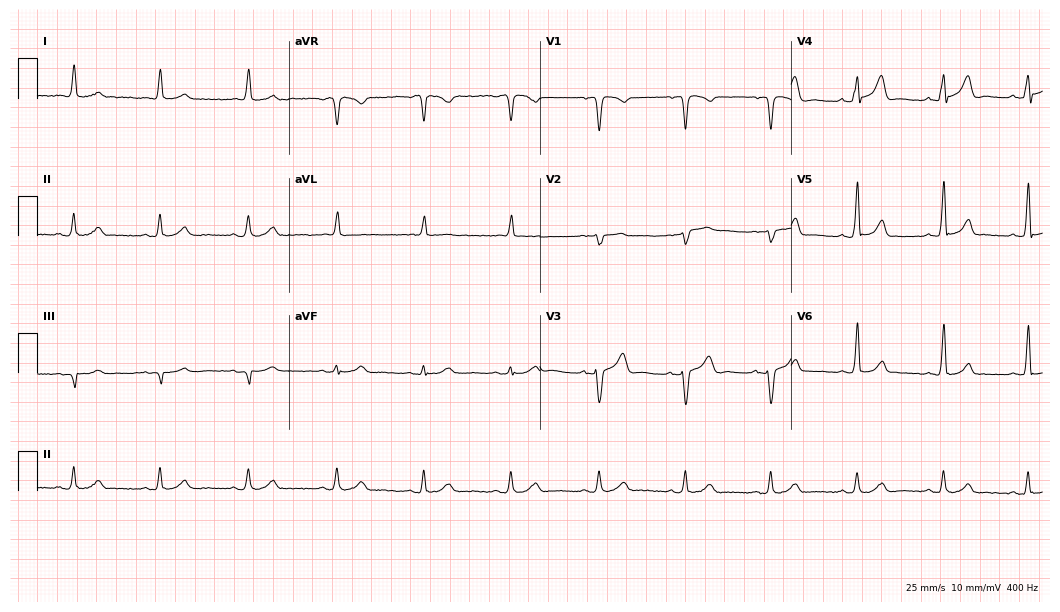
12-lead ECG from a 66-year-old male (10.2-second recording at 400 Hz). Recorded interpretation: within normal limits.